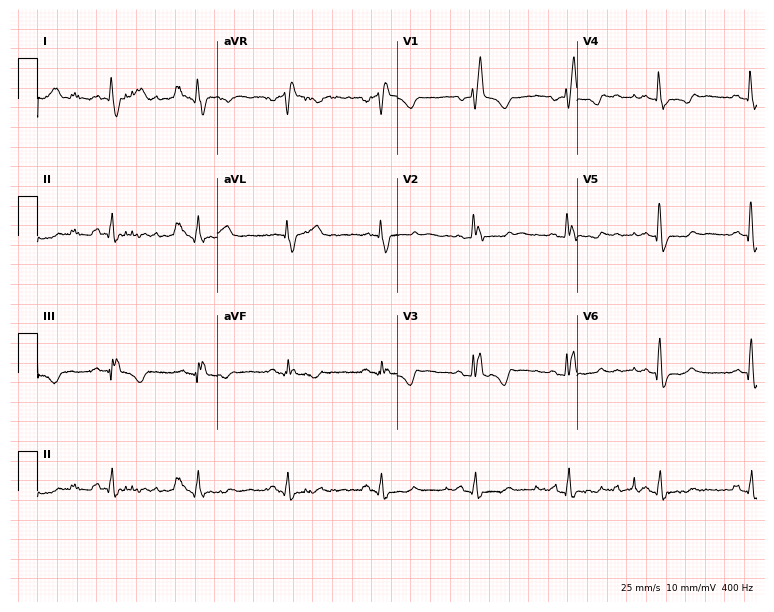
Electrocardiogram, a 61-year-old female patient. Interpretation includes right bundle branch block (RBBB).